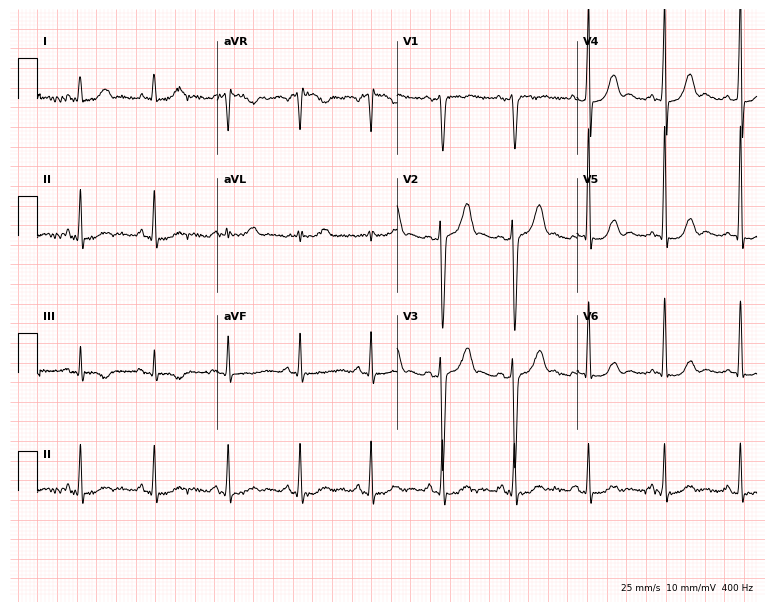
12-lead ECG from a 48-year-old male patient. Screened for six findings — first-degree AV block, right bundle branch block (RBBB), left bundle branch block (LBBB), sinus bradycardia, atrial fibrillation (AF), sinus tachycardia — none is recorded. Other findings, if any, are not listed.